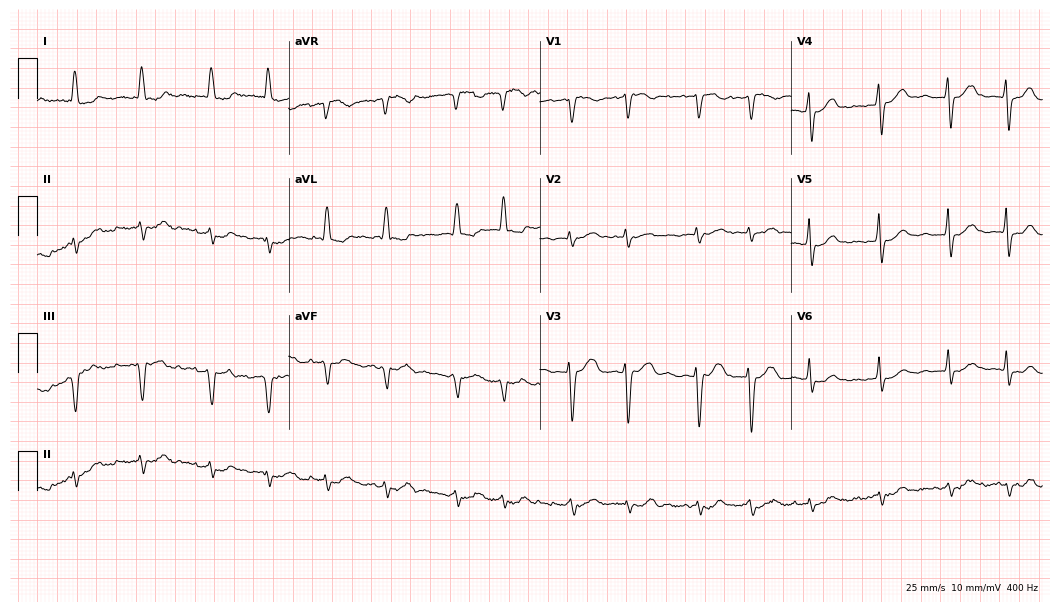
ECG — a woman, 77 years old. Findings include atrial fibrillation.